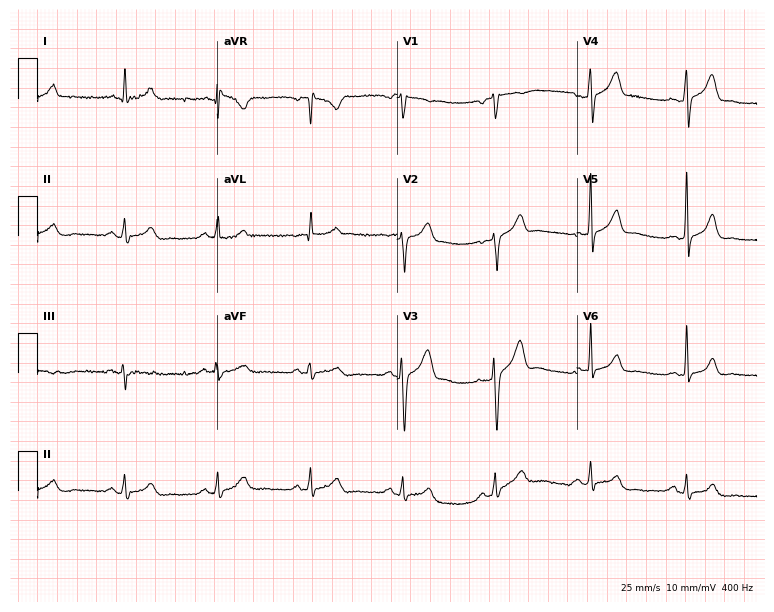
Standard 12-lead ECG recorded from a 50-year-old male. Read as a normal ECG.